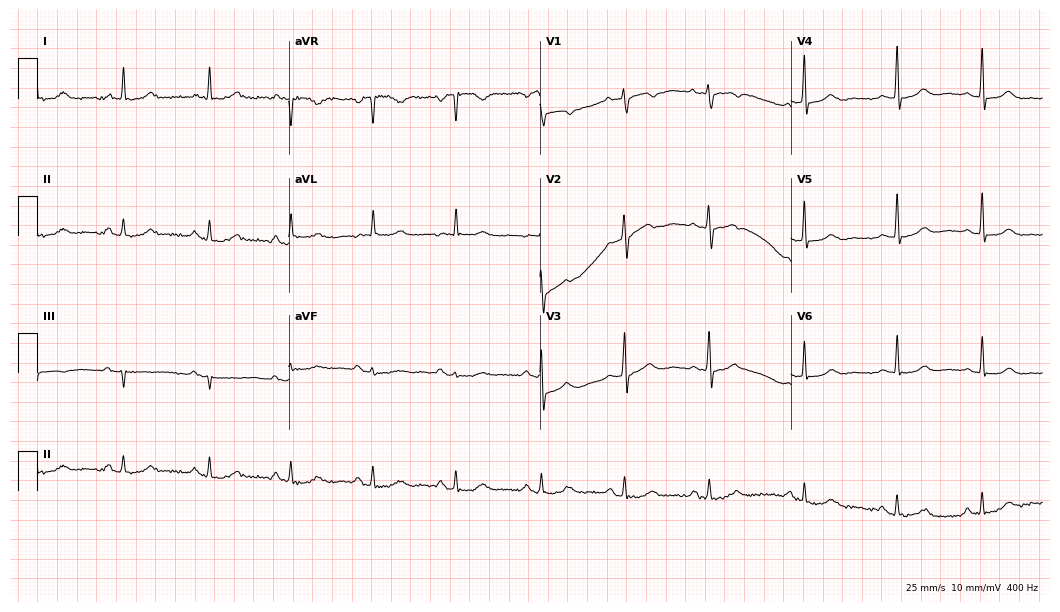
ECG — an 81-year-old woman. Labelled as a normal ECG.